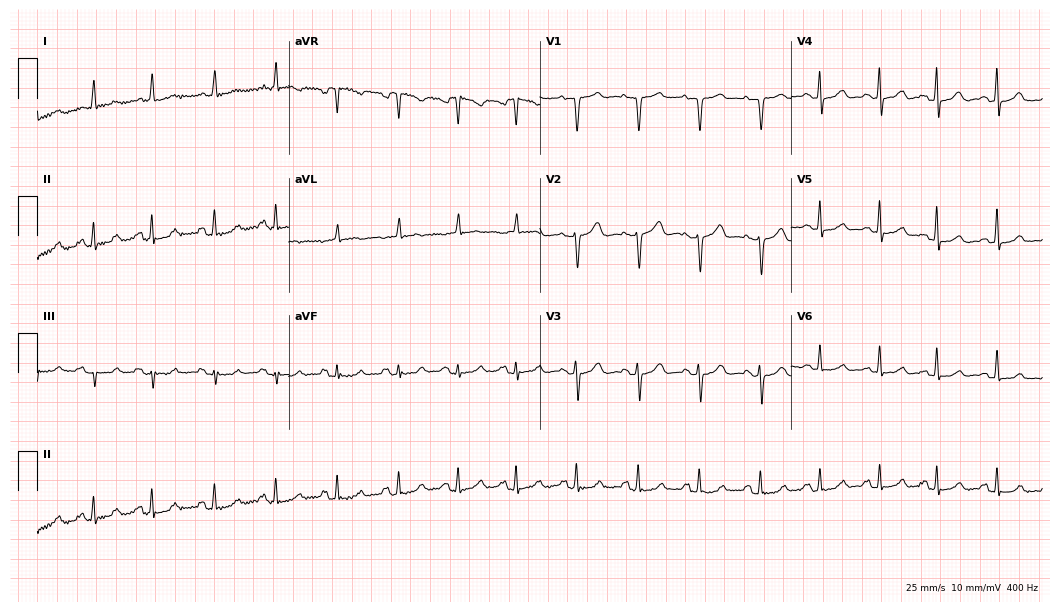
12-lead ECG from a female patient, 63 years old (10.2-second recording at 400 Hz). Recorded interpretation: within normal limits.